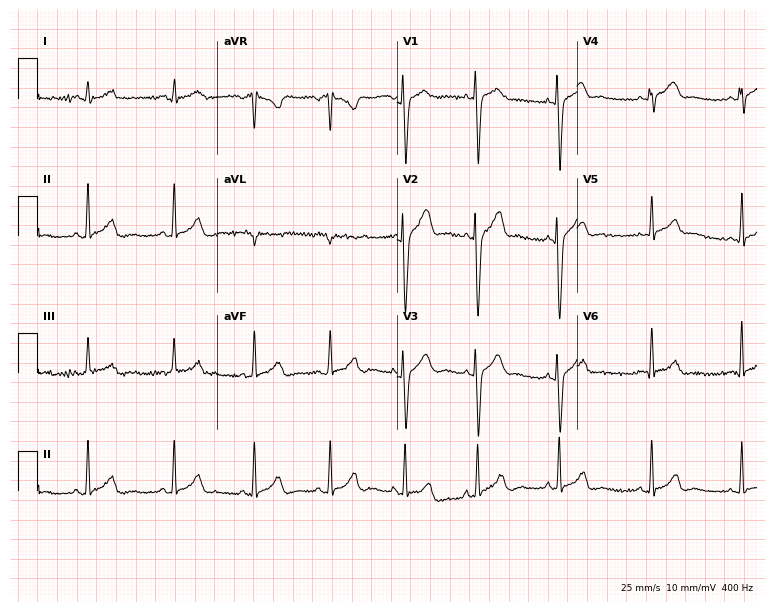
Electrocardiogram (7.3-second recording at 400 Hz), a man, 18 years old. Overall reading on record: normal ECG.